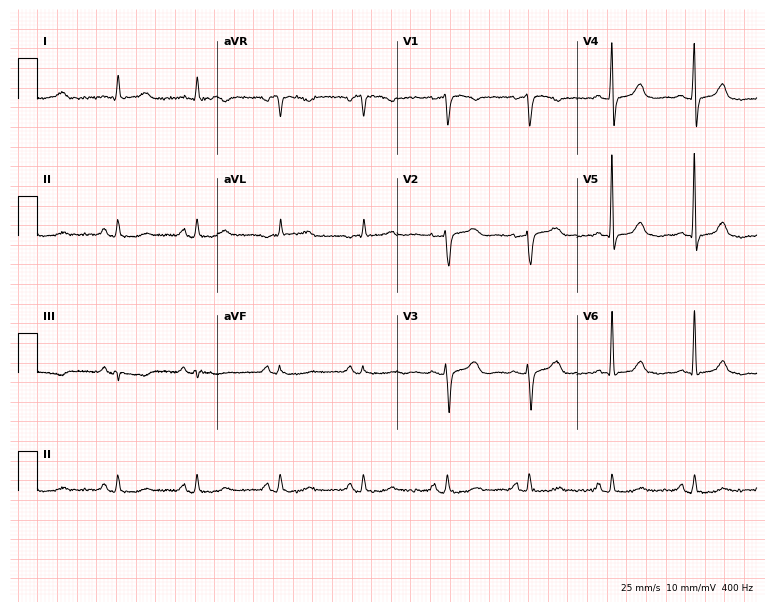
12-lead ECG from a woman, 71 years old (7.3-second recording at 400 Hz). No first-degree AV block, right bundle branch block, left bundle branch block, sinus bradycardia, atrial fibrillation or sinus tachycardia recorded for this tracing. Only these six findings were labelled.